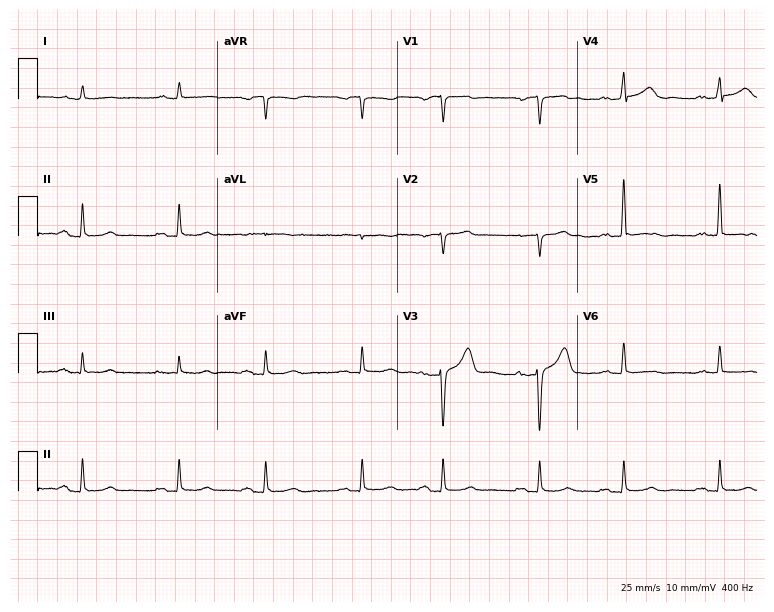
12-lead ECG from a man, 71 years old (7.3-second recording at 400 Hz). Recorded interpretation: within normal limits.